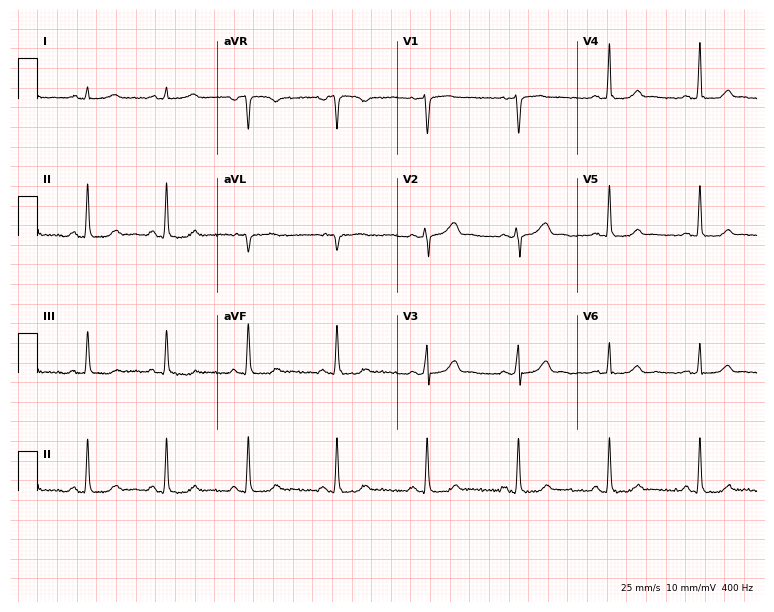
12-lead ECG from a 44-year-old female. Recorded interpretation: within normal limits.